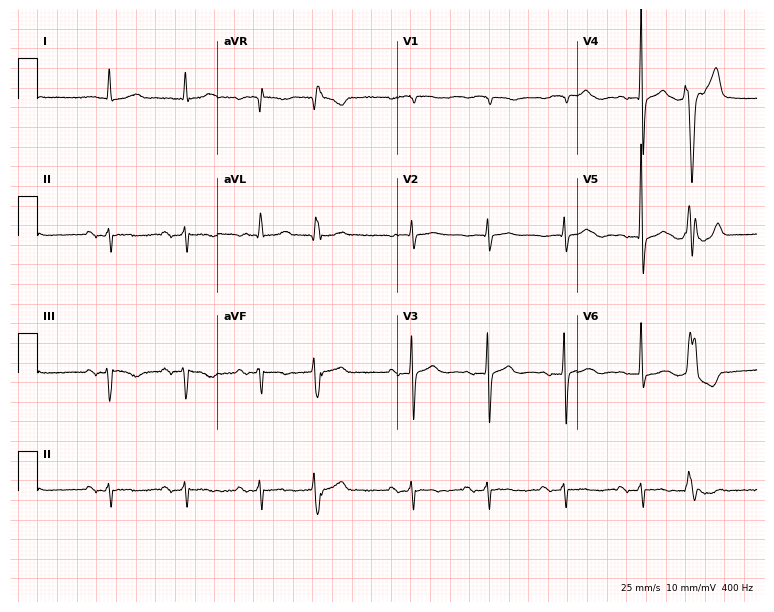
Standard 12-lead ECG recorded from a female, 78 years old. None of these six findings is recorded: first-degree AV block, right bundle branch block, left bundle branch block, sinus bradycardia, atrial fibrillation, sinus tachycardia.